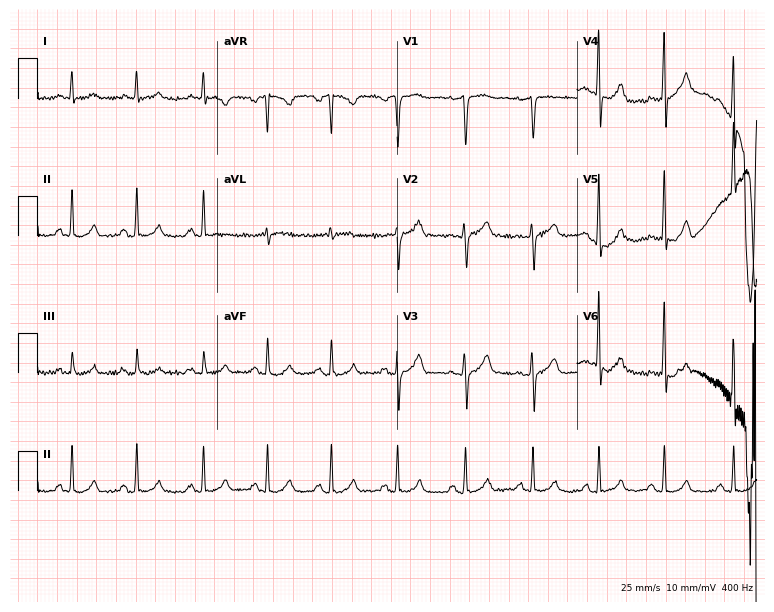
Resting 12-lead electrocardiogram (7.3-second recording at 400 Hz). Patient: a female, 72 years old. Read as a normal ECG.